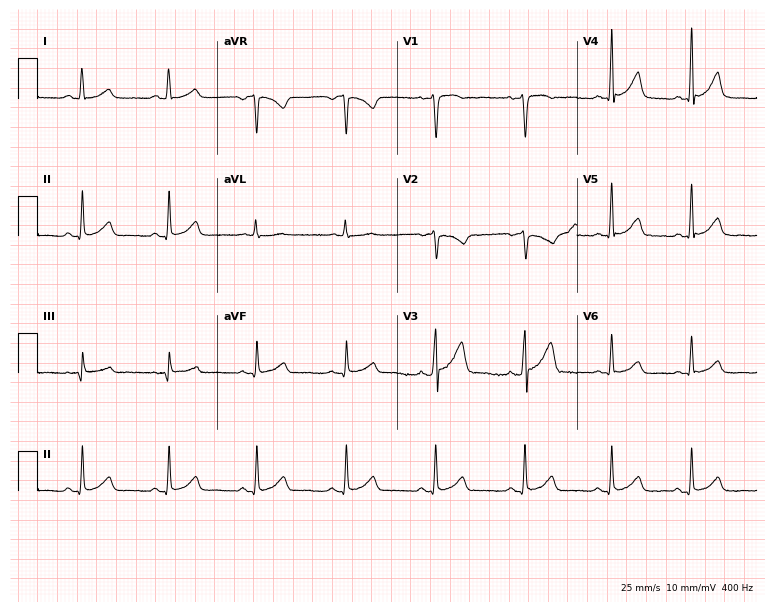
Electrocardiogram, a 49-year-old female patient. Overall reading on record: normal ECG.